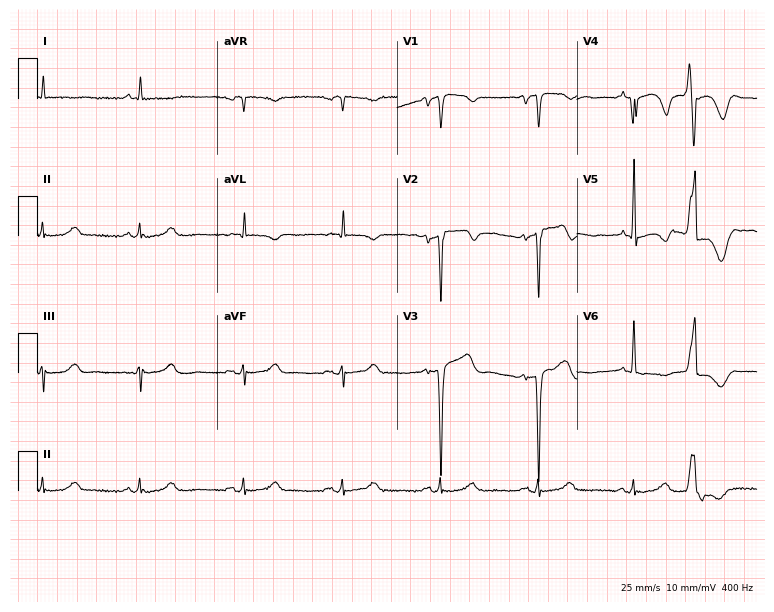
12-lead ECG from an 84-year-old female patient. Screened for six findings — first-degree AV block, right bundle branch block, left bundle branch block, sinus bradycardia, atrial fibrillation, sinus tachycardia — none is recorded. Other findings, if any, are not listed.